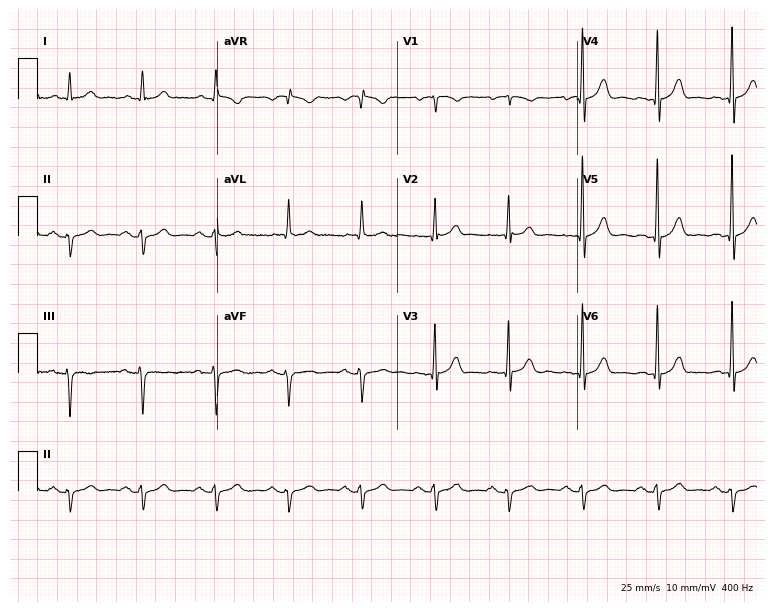
Resting 12-lead electrocardiogram (7.3-second recording at 400 Hz). Patient: a 77-year-old female. None of these six findings is recorded: first-degree AV block, right bundle branch block, left bundle branch block, sinus bradycardia, atrial fibrillation, sinus tachycardia.